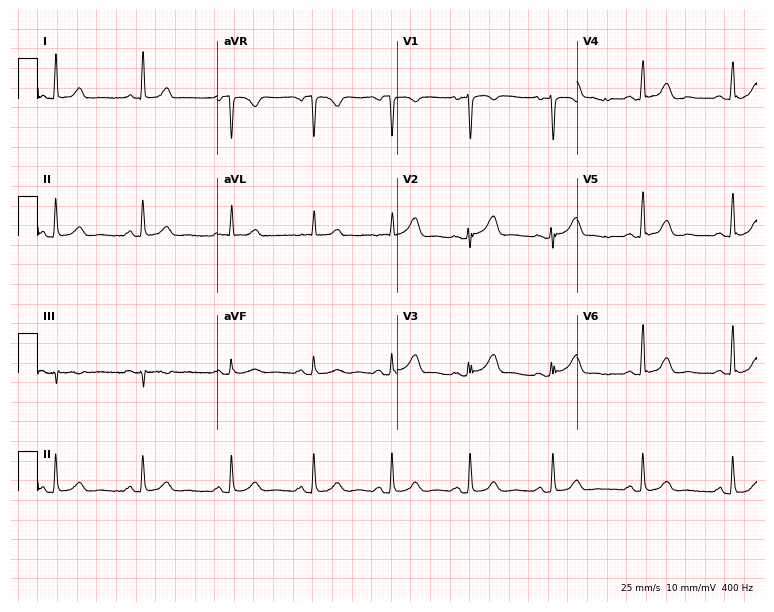
12-lead ECG from a woman, 44 years old (7.3-second recording at 400 Hz). No first-degree AV block, right bundle branch block (RBBB), left bundle branch block (LBBB), sinus bradycardia, atrial fibrillation (AF) or sinus tachycardia recorded for this tracing.